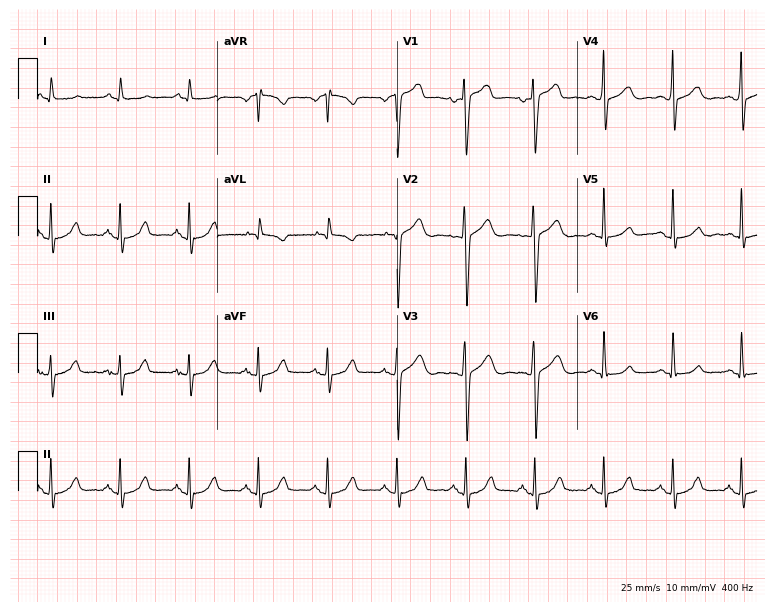
12-lead ECG from a 76-year-old man. Screened for six findings — first-degree AV block, right bundle branch block, left bundle branch block, sinus bradycardia, atrial fibrillation, sinus tachycardia — none is recorded. Other findings, if any, are not listed.